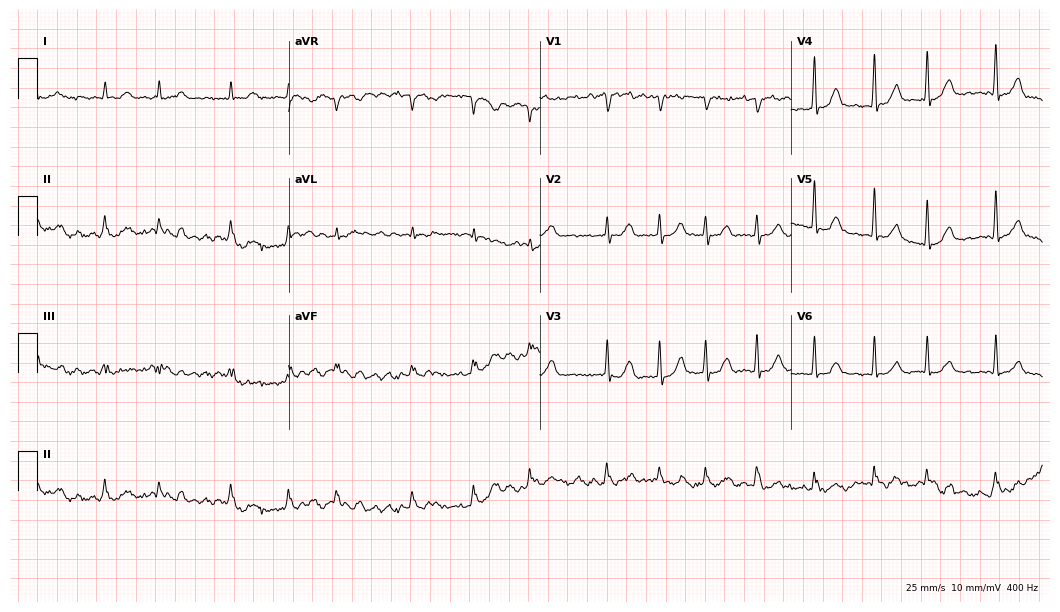
Resting 12-lead electrocardiogram (10.2-second recording at 400 Hz). Patient: a 59-year-old male. The tracing shows atrial fibrillation (AF).